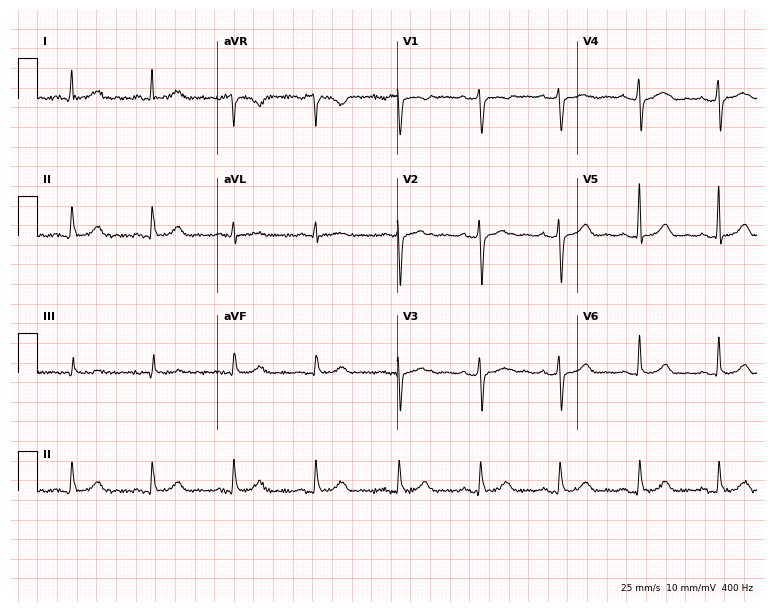
ECG (7.3-second recording at 400 Hz) — a female patient, 53 years old. Screened for six findings — first-degree AV block, right bundle branch block (RBBB), left bundle branch block (LBBB), sinus bradycardia, atrial fibrillation (AF), sinus tachycardia — none is recorded. Findings outside these six are not listed.